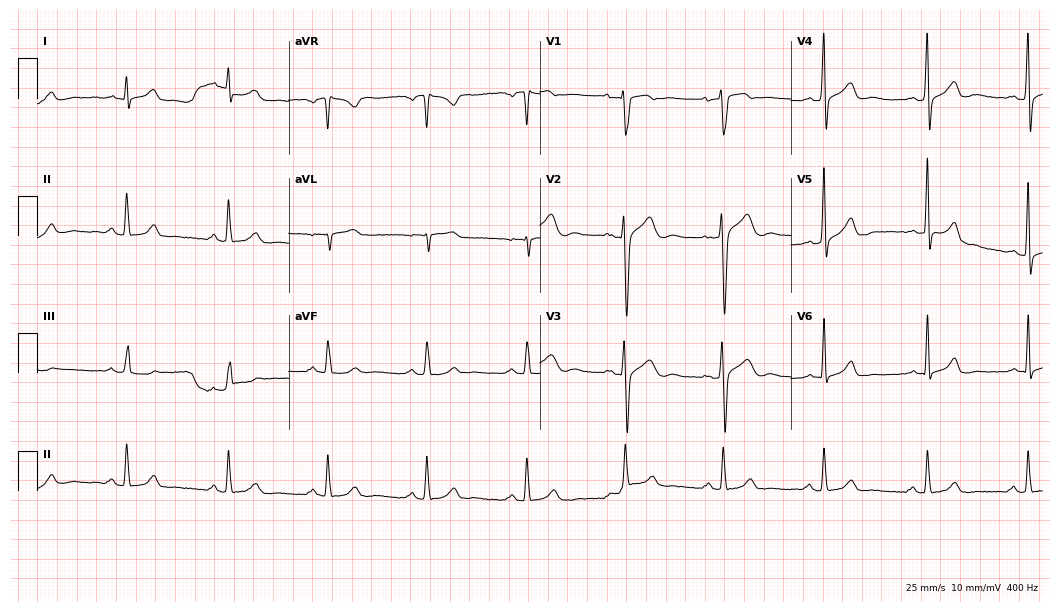
Standard 12-lead ECG recorded from a man, 34 years old (10.2-second recording at 400 Hz). None of these six findings is recorded: first-degree AV block, right bundle branch block, left bundle branch block, sinus bradycardia, atrial fibrillation, sinus tachycardia. Findings outside these six are not listed.